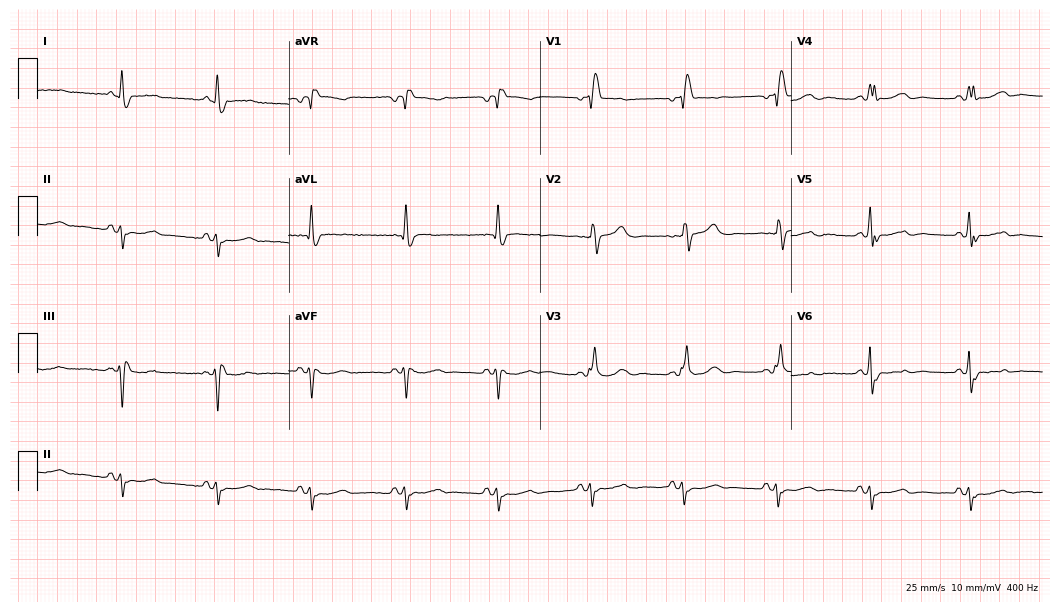
Resting 12-lead electrocardiogram (10.2-second recording at 400 Hz). Patient: a male, 79 years old. The tracing shows right bundle branch block.